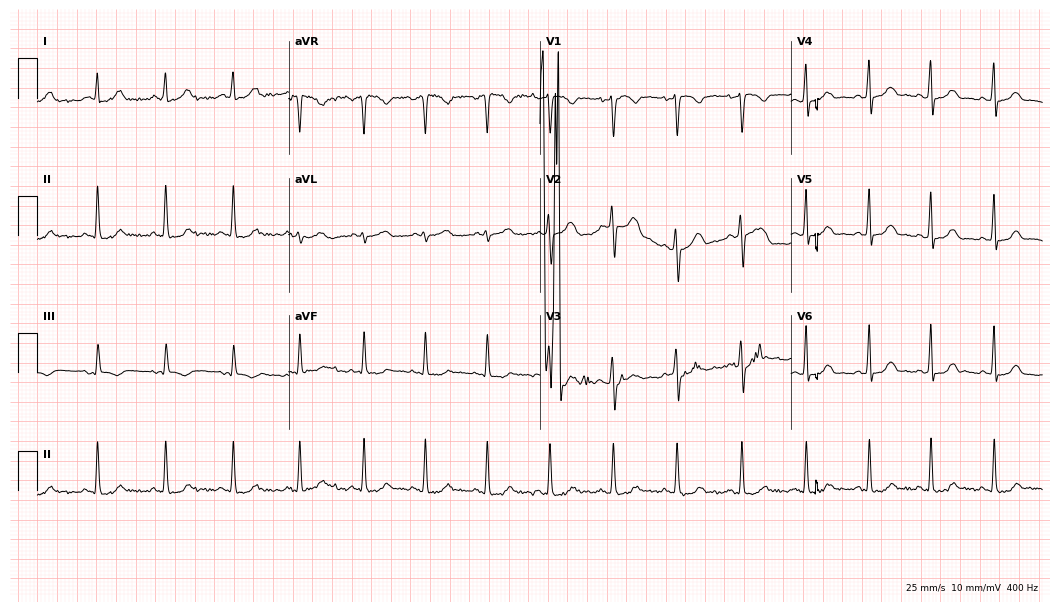
Electrocardiogram (10.2-second recording at 400 Hz), a female, 30 years old. Overall reading on record: normal ECG.